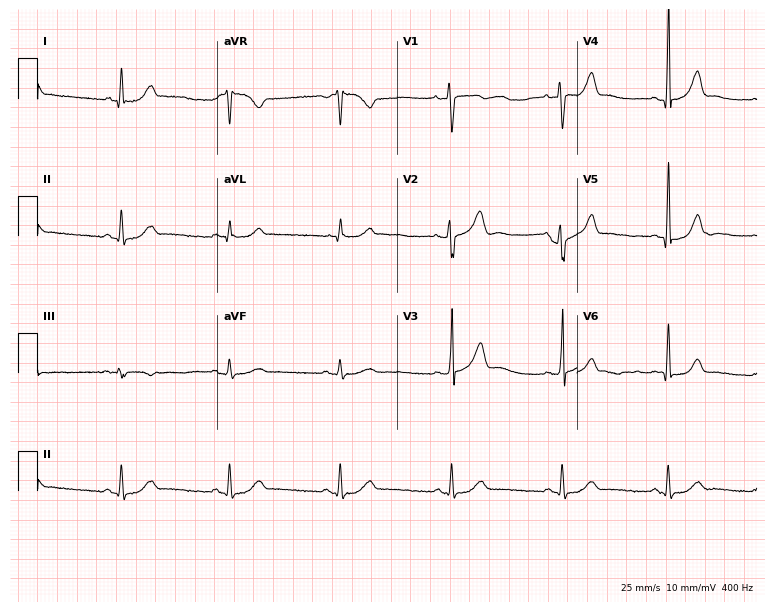
12-lead ECG from a man, 42 years old. Screened for six findings — first-degree AV block, right bundle branch block (RBBB), left bundle branch block (LBBB), sinus bradycardia, atrial fibrillation (AF), sinus tachycardia — none is recorded. Other findings, if any, are not listed.